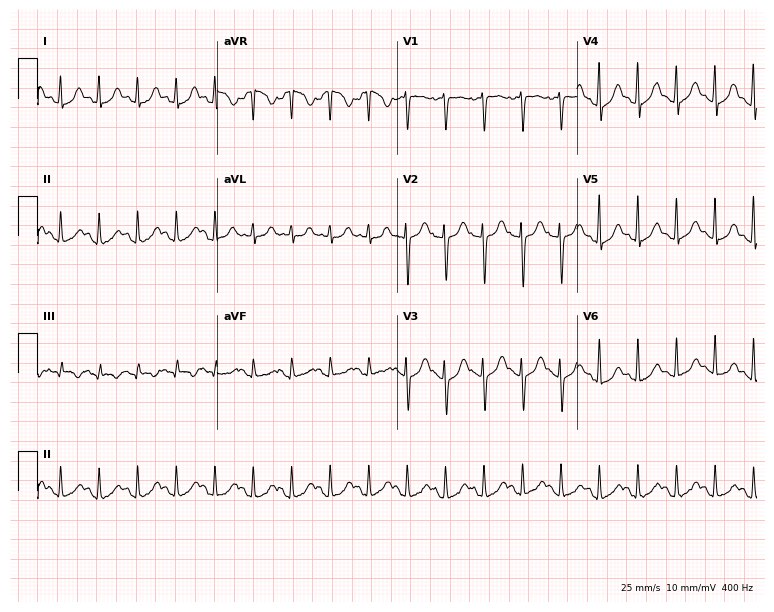
Resting 12-lead electrocardiogram. Patient: a 41-year-old female. The tracing shows sinus tachycardia (a sinus rate of 100 beats per minute or more).